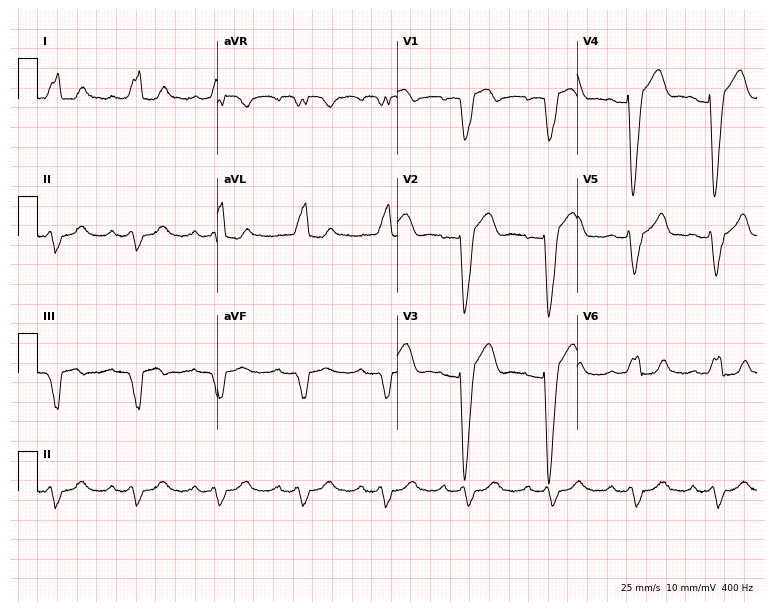
12-lead ECG (7.3-second recording at 400 Hz) from an 84-year-old woman. Findings include left bundle branch block (LBBB).